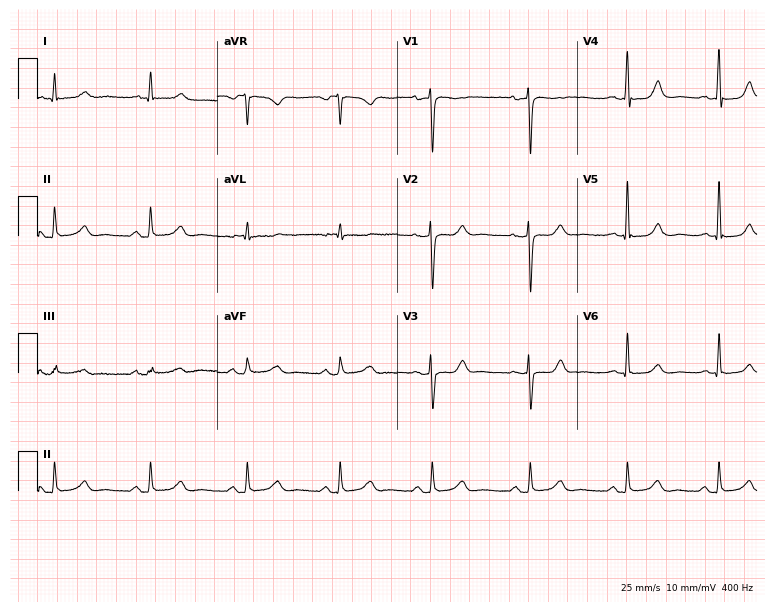
Resting 12-lead electrocardiogram. Patient: a woman, 49 years old. None of these six findings is recorded: first-degree AV block, right bundle branch block (RBBB), left bundle branch block (LBBB), sinus bradycardia, atrial fibrillation (AF), sinus tachycardia. Findings outside these six are not listed.